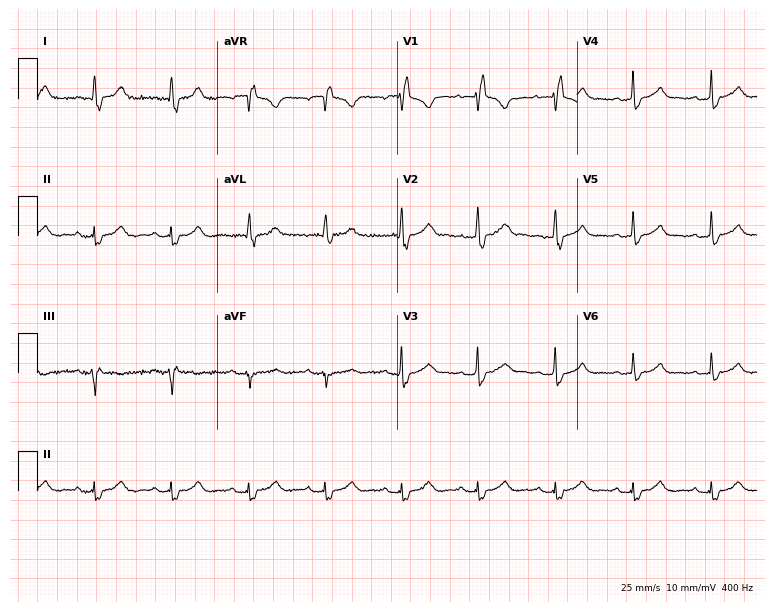
Resting 12-lead electrocardiogram. Patient: a female, 45 years old. The tracing shows right bundle branch block (RBBB).